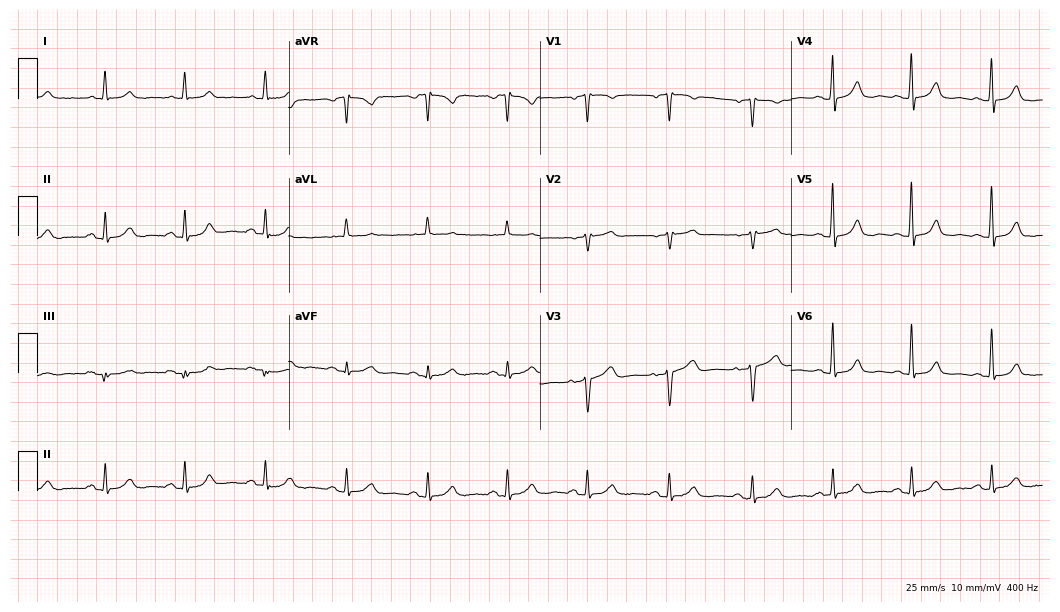
12-lead ECG from a 69-year-old female (10.2-second recording at 400 Hz). Recorded interpretation: within normal limits.